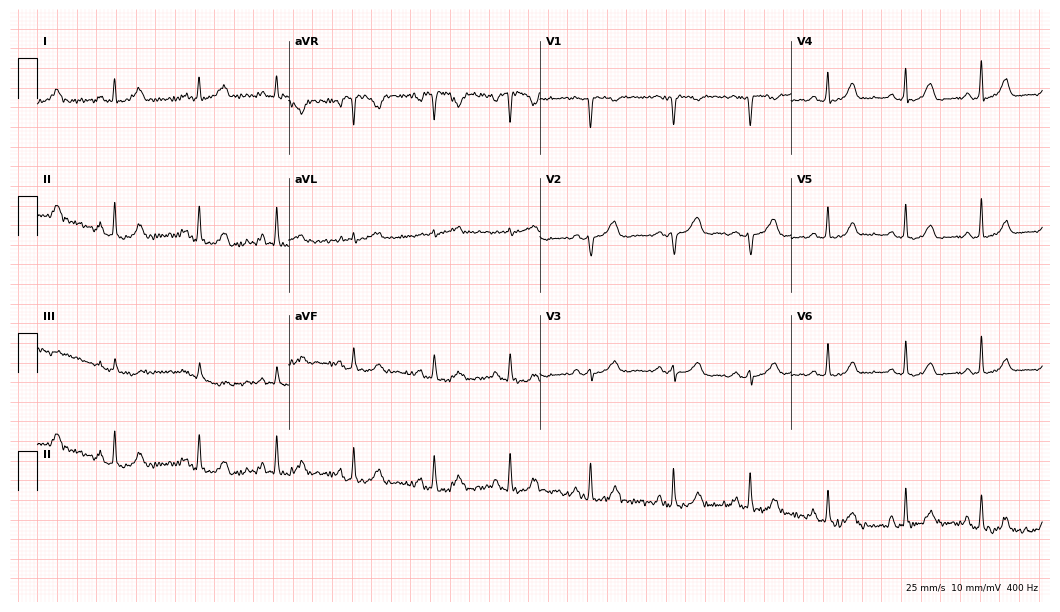
12-lead ECG from a 52-year-old female. Labelled as a normal ECG.